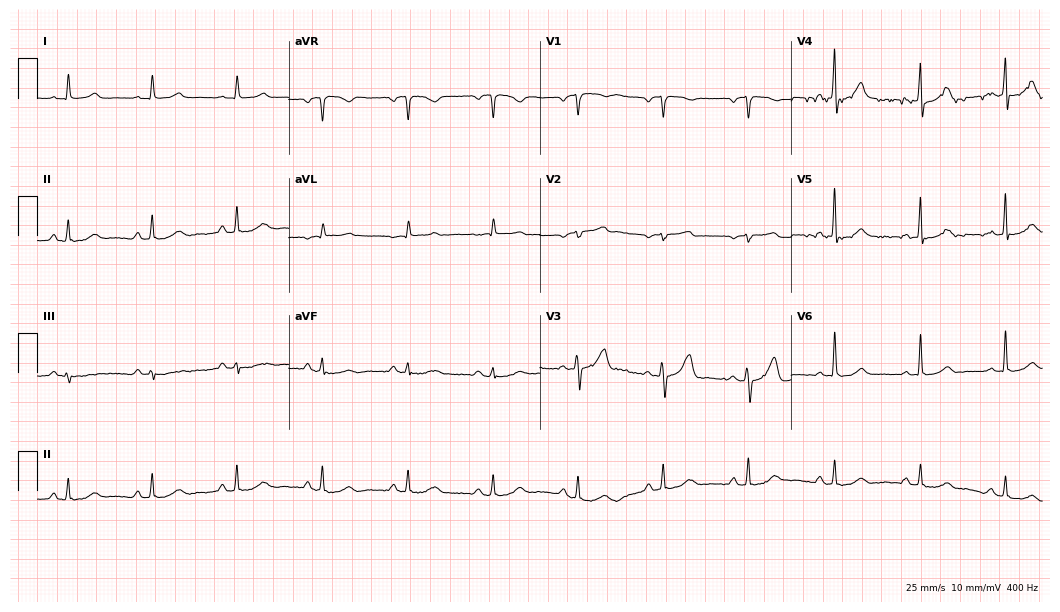
12-lead ECG (10.2-second recording at 400 Hz) from a female patient, 63 years old. Labelled as a normal ECG.